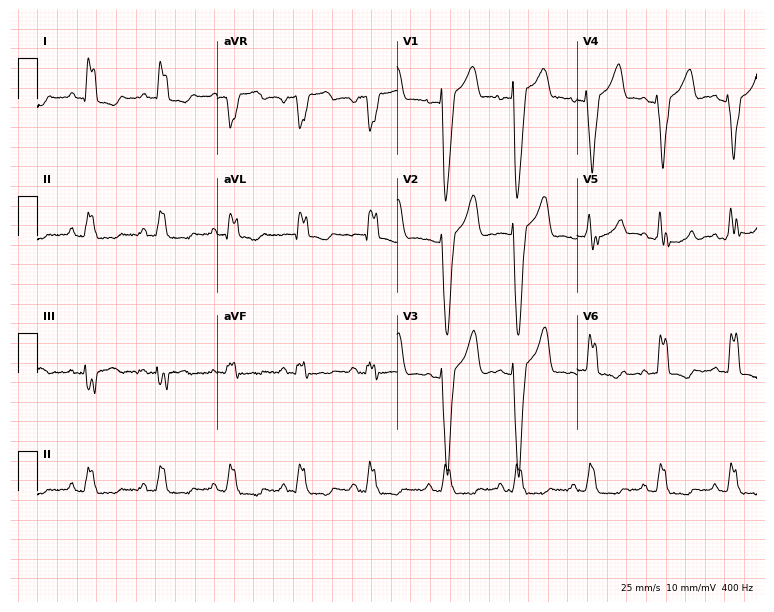
12-lead ECG from a male, 81 years old (7.3-second recording at 400 Hz). Shows left bundle branch block (LBBB).